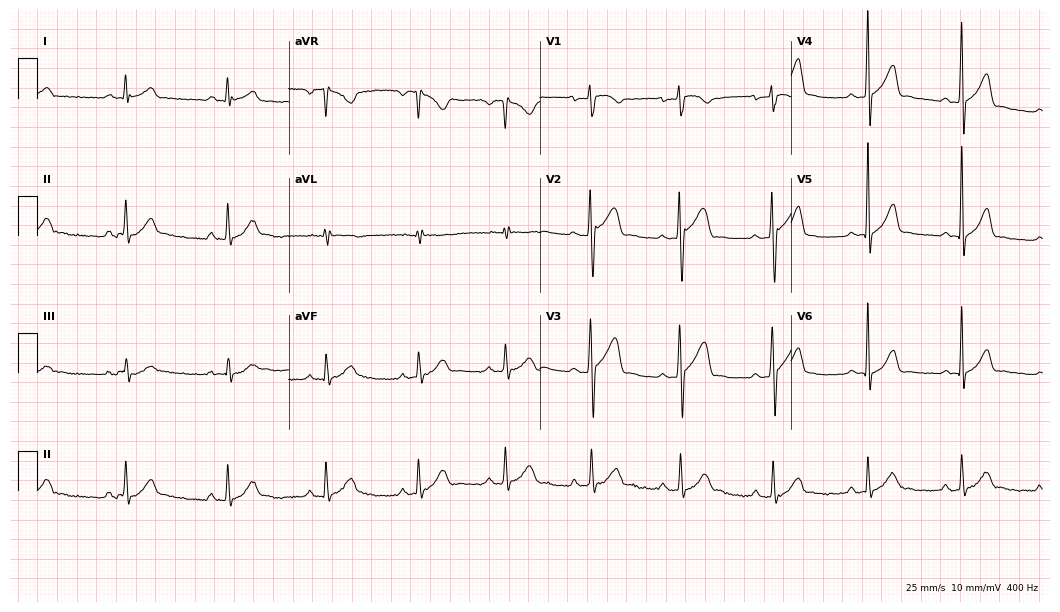
12-lead ECG from a female, 39 years old. Recorded interpretation: within normal limits.